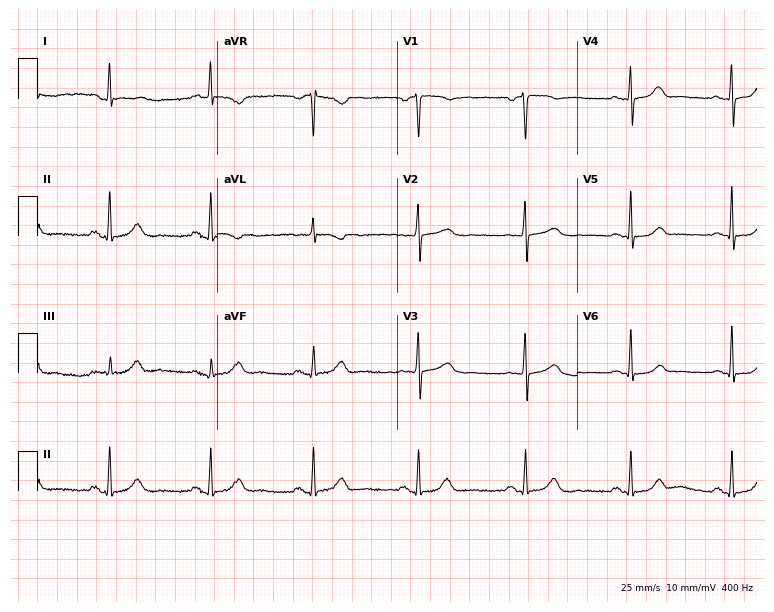
Standard 12-lead ECG recorded from a female, 62 years old (7.3-second recording at 400 Hz). None of these six findings is recorded: first-degree AV block, right bundle branch block, left bundle branch block, sinus bradycardia, atrial fibrillation, sinus tachycardia.